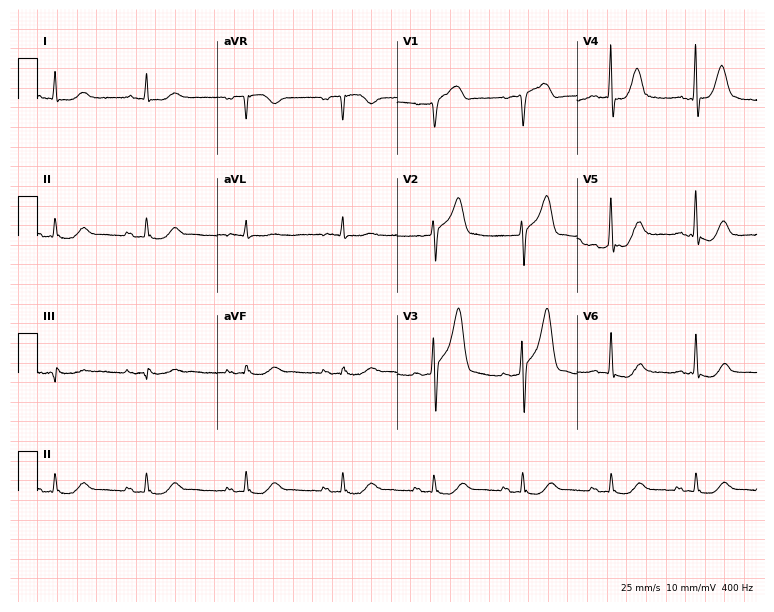
ECG — a 52-year-old male. Screened for six findings — first-degree AV block, right bundle branch block (RBBB), left bundle branch block (LBBB), sinus bradycardia, atrial fibrillation (AF), sinus tachycardia — none is recorded.